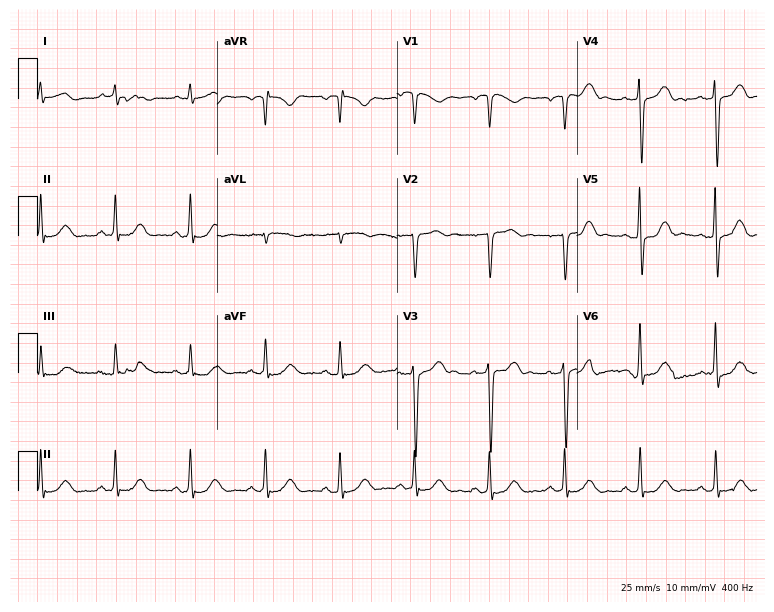
Electrocardiogram, a male, 50 years old. Of the six screened findings (first-degree AV block, right bundle branch block, left bundle branch block, sinus bradycardia, atrial fibrillation, sinus tachycardia), none is recorded. Only these six findings were labelled.